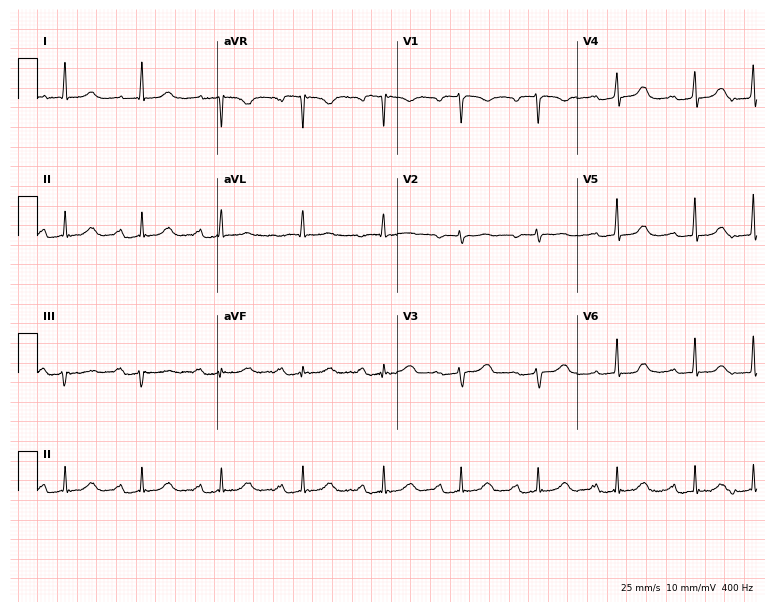
Standard 12-lead ECG recorded from an 85-year-old female patient (7.3-second recording at 400 Hz). None of these six findings is recorded: first-degree AV block, right bundle branch block (RBBB), left bundle branch block (LBBB), sinus bradycardia, atrial fibrillation (AF), sinus tachycardia.